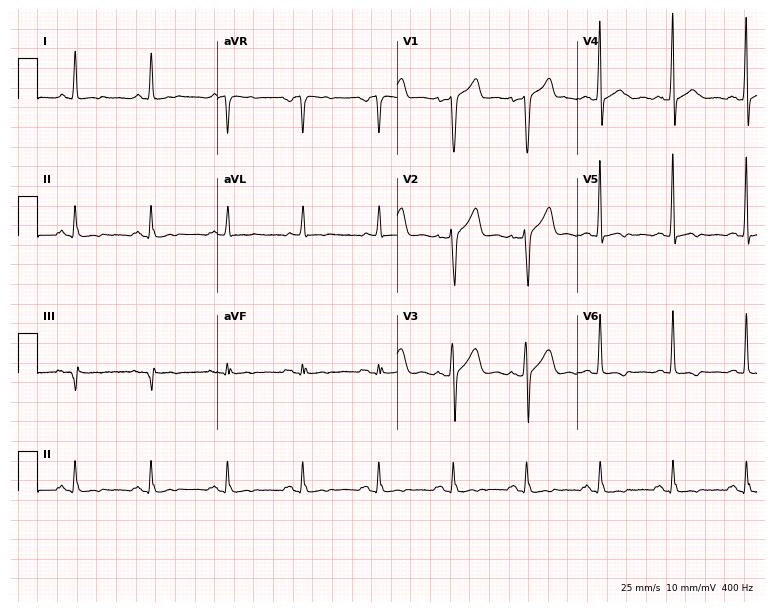
12-lead ECG from a man, 63 years old. No first-degree AV block, right bundle branch block, left bundle branch block, sinus bradycardia, atrial fibrillation or sinus tachycardia recorded for this tracing. Findings outside these six are not listed.